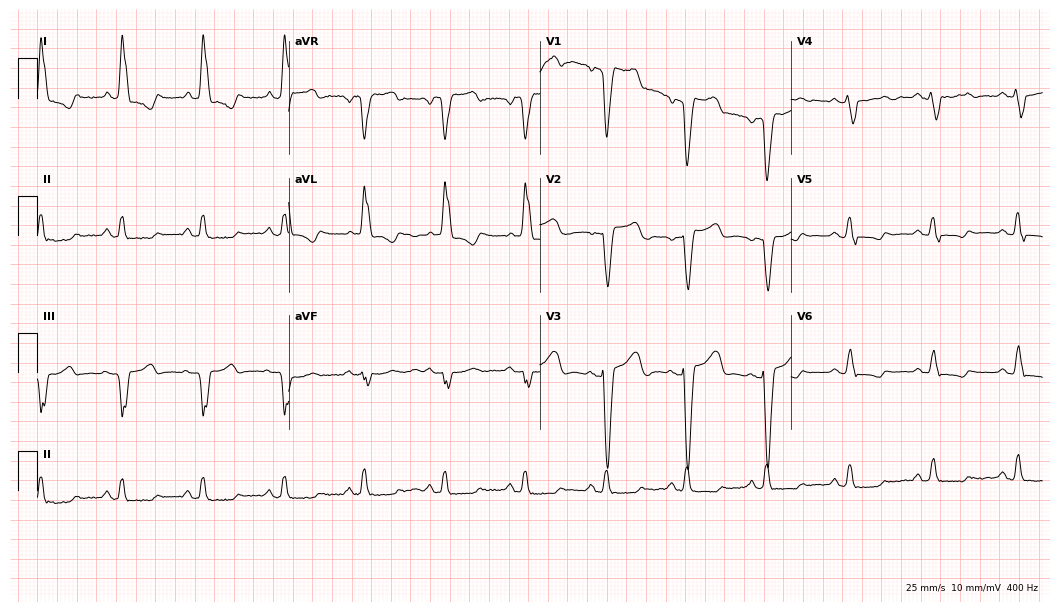
12-lead ECG from a 63-year-old female (10.2-second recording at 400 Hz). Shows left bundle branch block.